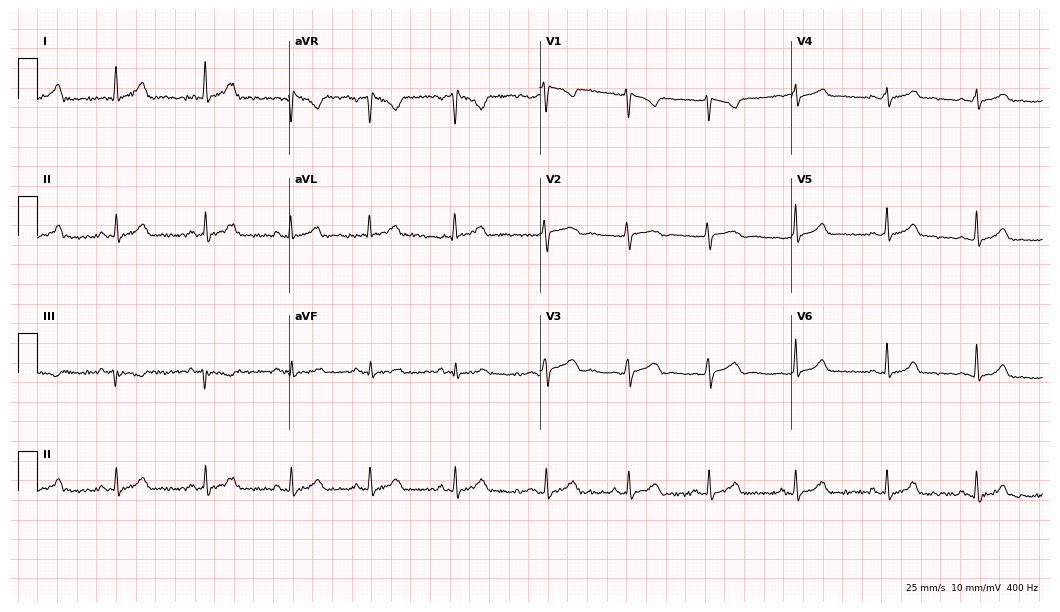
12-lead ECG (10.2-second recording at 400 Hz) from a female patient, 28 years old. Labelled as a normal ECG.